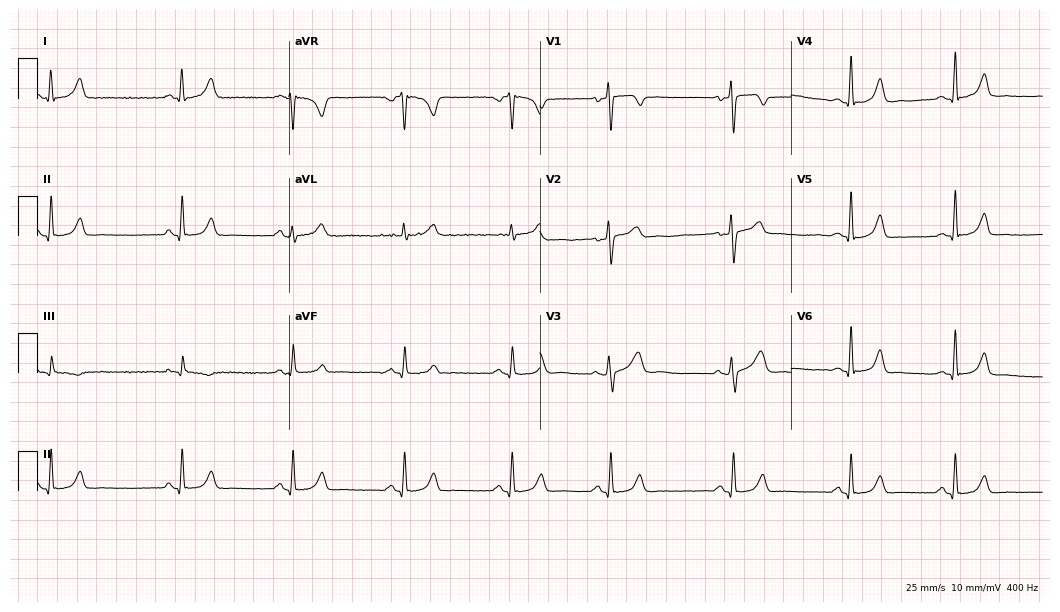
Electrocardiogram (10.2-second recording at 400 Hz), a woman, 30 years old. Overall reading on record: normal ECG.